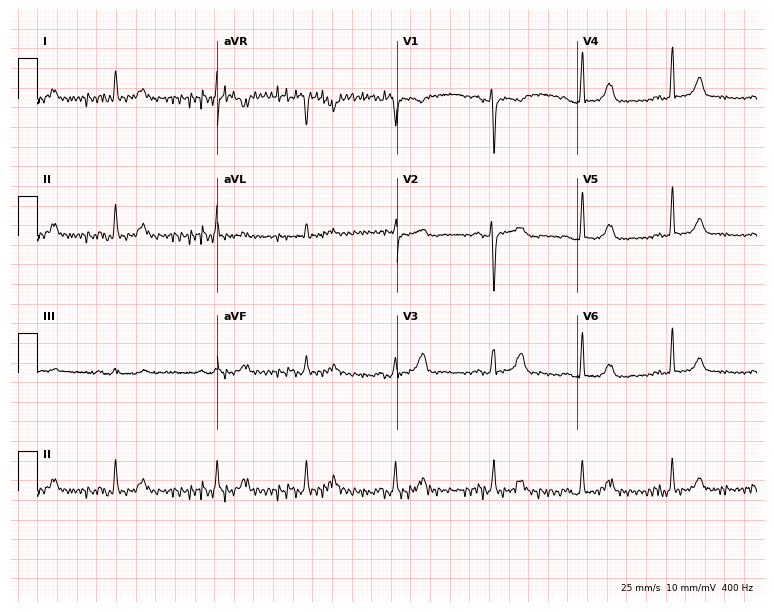
ECG (7.3-second recording at 400 Hz) — a female, 35 years old. Screened for six findings — first-degree AV block, right bundle branch block, left bundle branch block, sinus bradycardia, atrial fibrillation, sinus tachycardia — none is recorded.